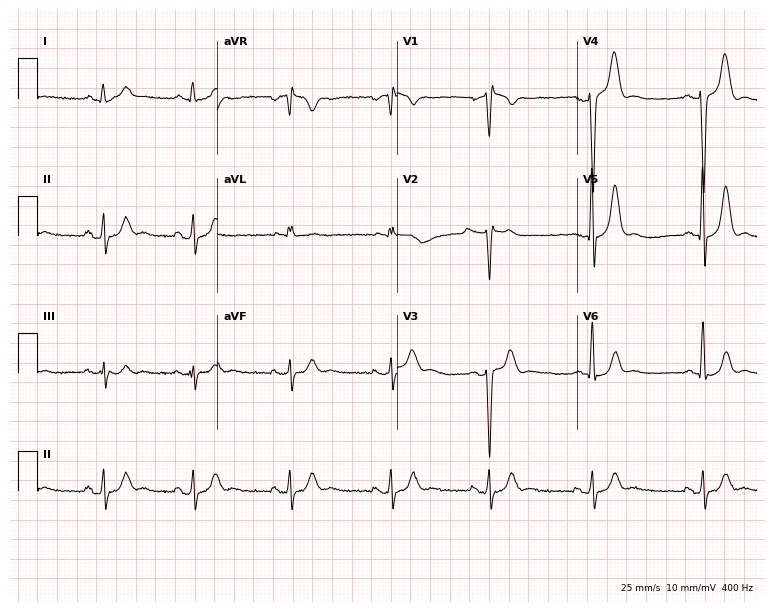
12-lead ECG (7.3-second recording at 400 Hz) from a male patient, 30 years old. Screened for six findings — first-degree AV block, right bundle branch block (RBBB), left bundle branch block (LBBB), sinus bradycardia, atrial fibrillation (AF), sinus tachycardia — none is recorded. Other findings, if any, are not listed.